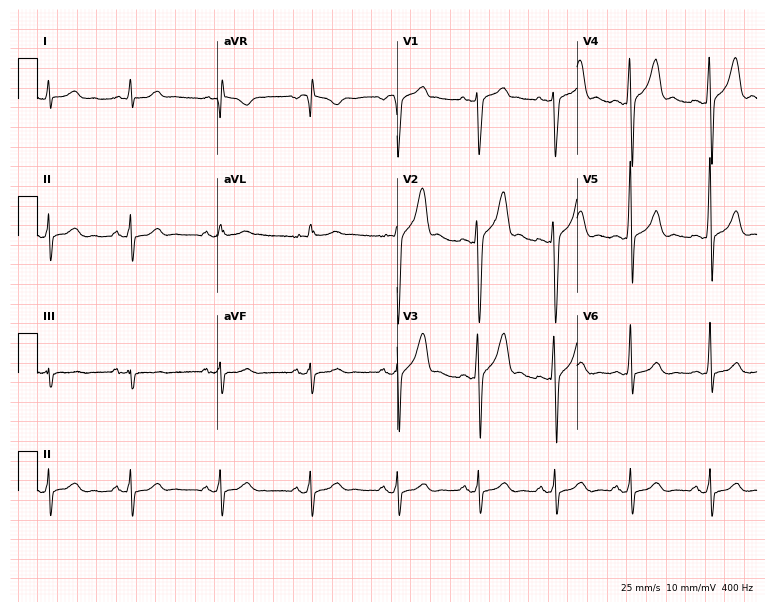
Standard 12-lead ECG recorded from a man, 25 years old. None of these six findings is recorded: first-degree AV block, right bundle branch block (RBBB), left bundle branch block (LBBB), sinus bradycardia, atrial fibrillation (AF), sinus tachycardia.